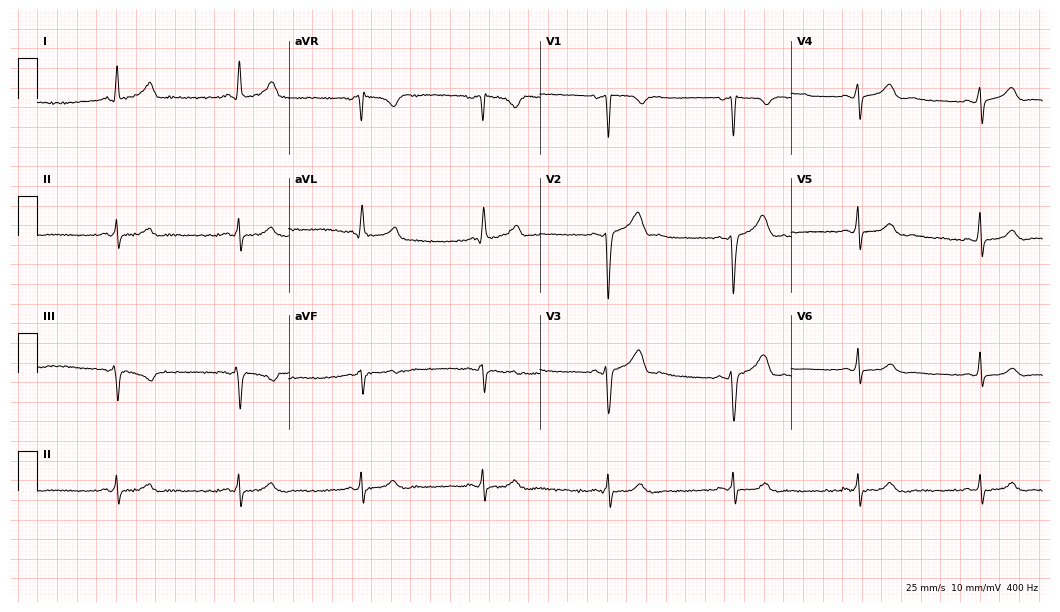
ECG (10.2-second recording at 400 Hz) — a male patient, 54 years old. Findings include sinus bradycardia (a sinus rate of 50 beats per minute or less).